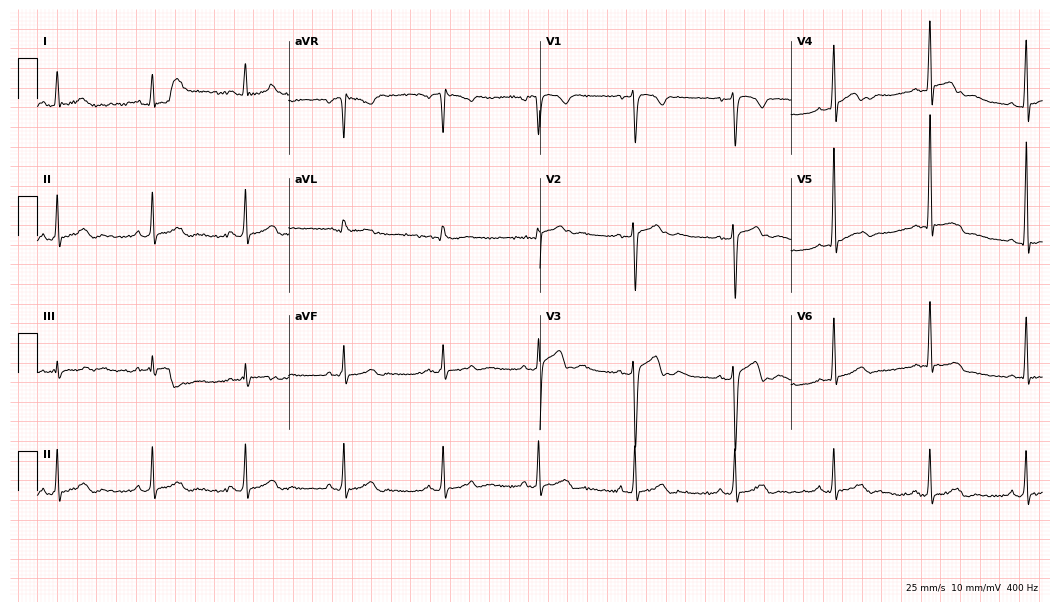
ECG (10.2-second recording at 400 Hz) — a man, 28 years old. Screened for six findings — first-degree AV block, right bundle branch block (RBBB), left bundle branch block (LBBB), sinus bradycardia, atrial fibrillation (AF), sinus tachycardia — none is recorded. Other findings, if any, are not listed.